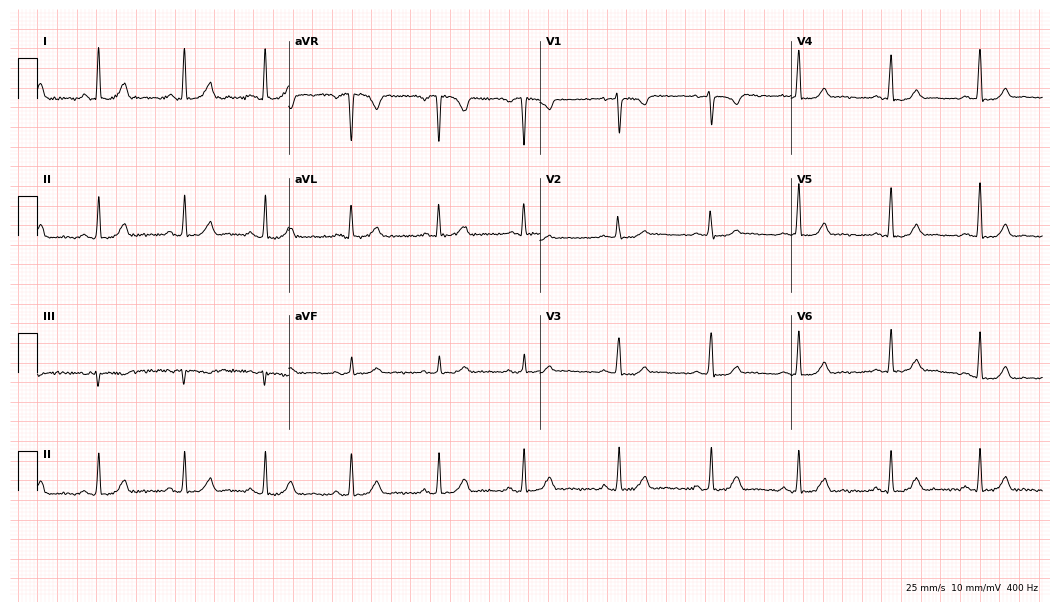
12-lead ECG from a female patient, 41 years old. Recorded interpretation: within normal limits.